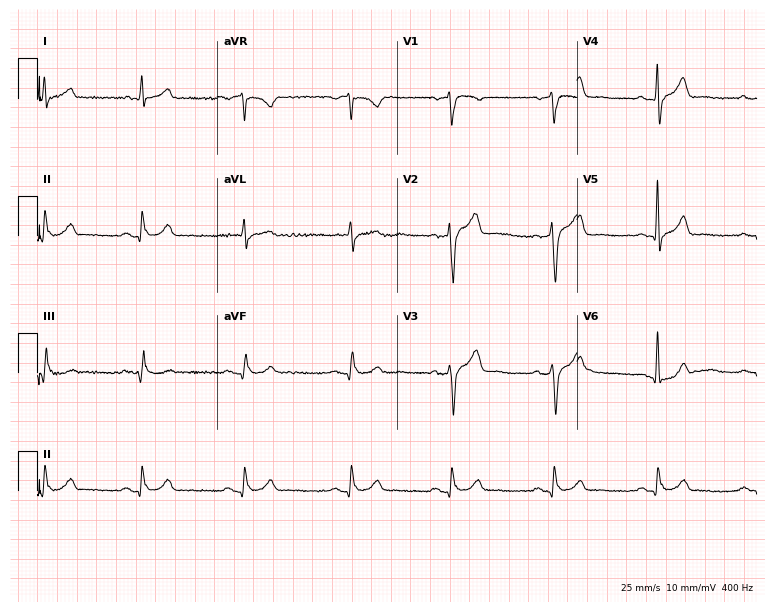
ECG (7.3-second recording at 400 Hz) — a male patient, 56 years old. Screened for six findings — first-degree AV block, right bundle branch block (RBBB), left bundle branch block (LBBB), sinus bradycardia, atrial fibrillation (AF), sinus tachycardia — none is recorded.